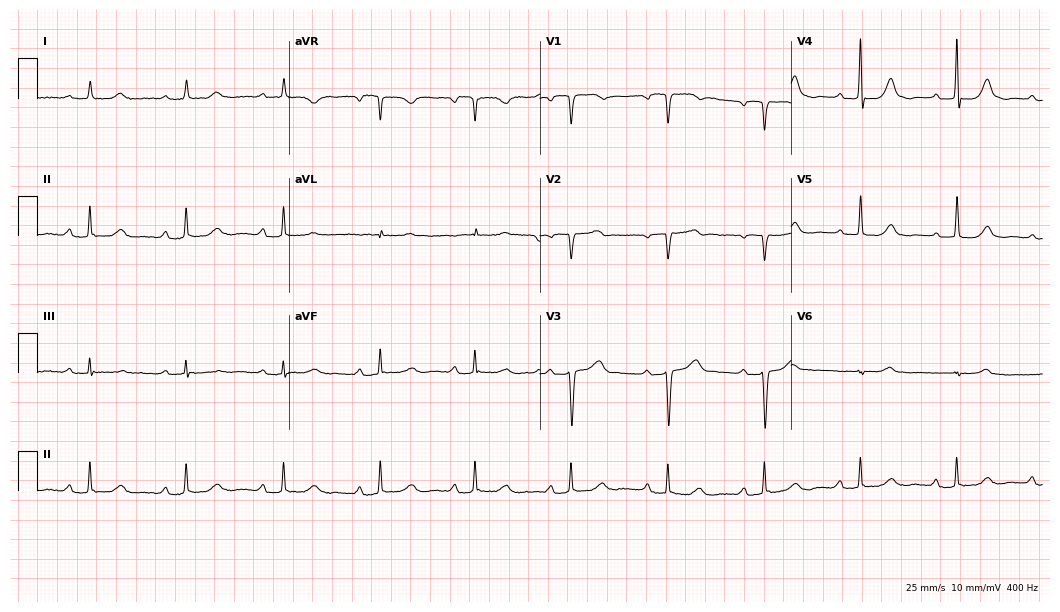
12-lead ECG (10.2-second recording at 400 Hz) from a female, 69 years old. Findings include first-degree AV block.